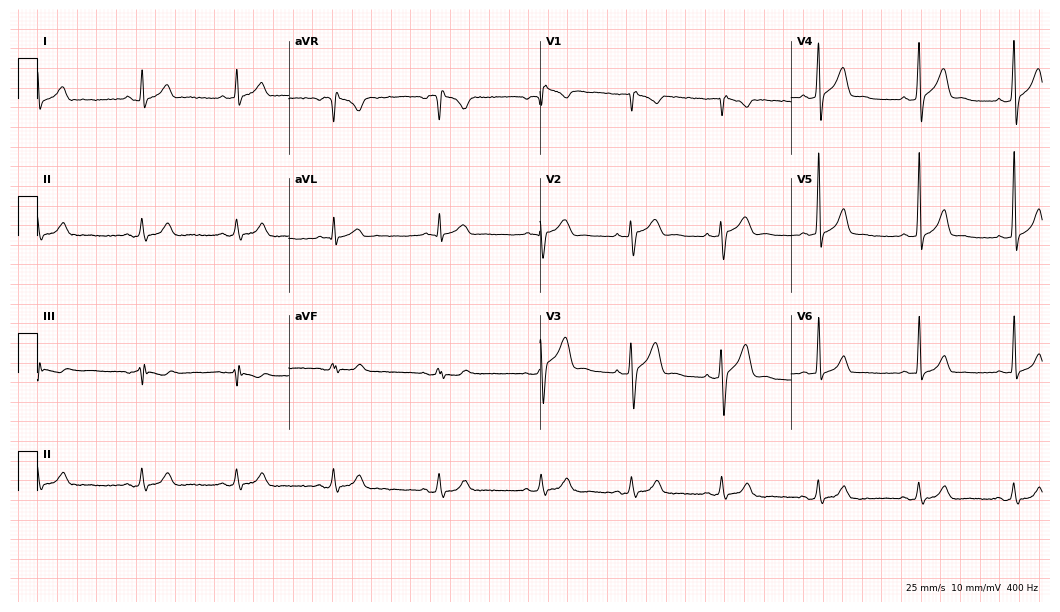
12-lead ECG from a 30-year-old male (10.2-second recording at 400 Hz). No first-degree AV block, right bundle branch block, left bundle branch block, sinus bradycardia, atrial fibrillation or sinus tachycardia recorded for this tracing.